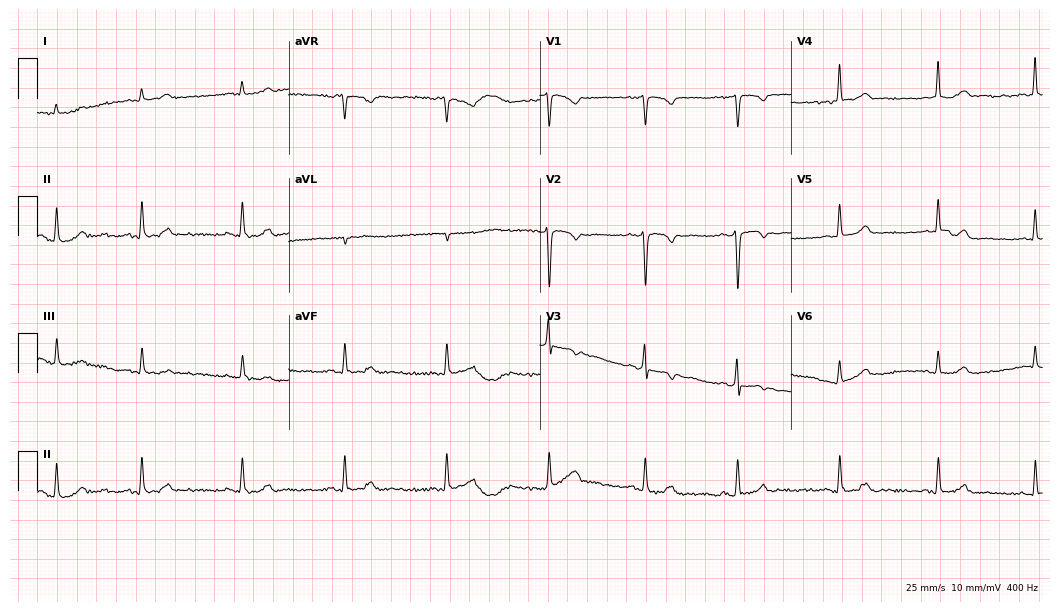
ECG — a female, 30 years old. Screened for six findings — first-degree AV block, right bundle branch block (RBBB), left bundle branch block (LBBB), sinus bradycardia, atrial fibrillation (AF), sinus tachycardia — none is recorded.